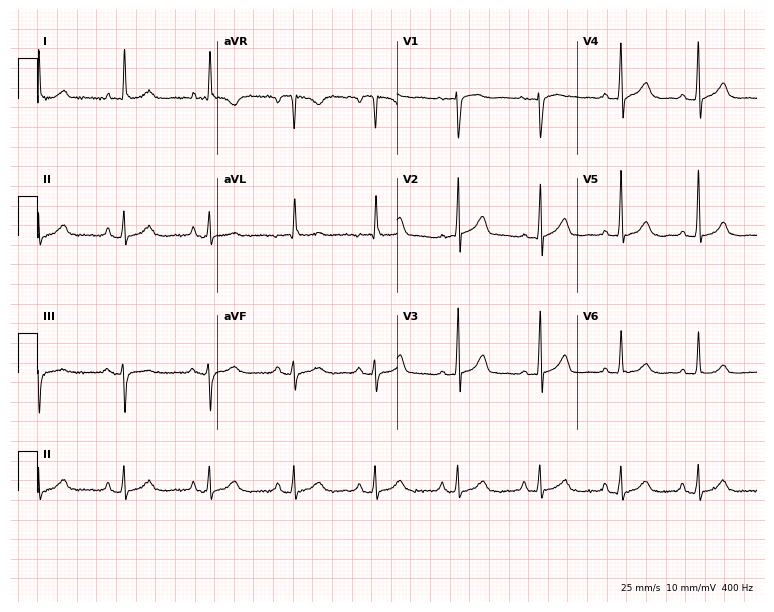
ECG (7.3-second recording at 400 Hz) — a 67-year-old woman. Screened for six findings — first-degree AV block, right bundle branch block, left bundle branch block, sinus bradycardia, atrial fibrillation, sinus tachycardia — none is recorded. Findings outside these six are not listed.